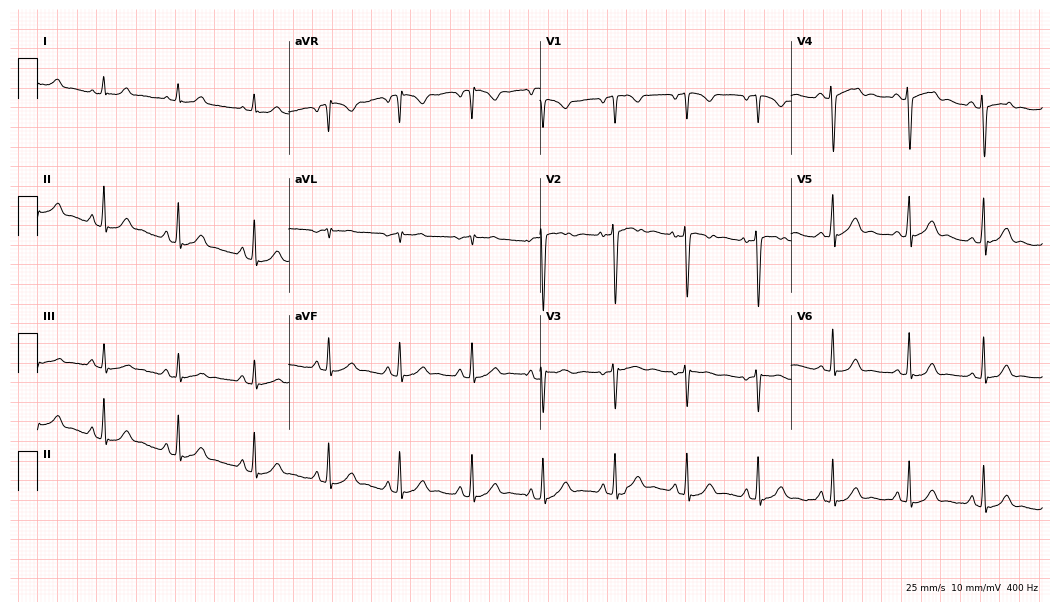
Electrocardiogram, a female patient, 25 years old. Overall reading on record: normal ECG.